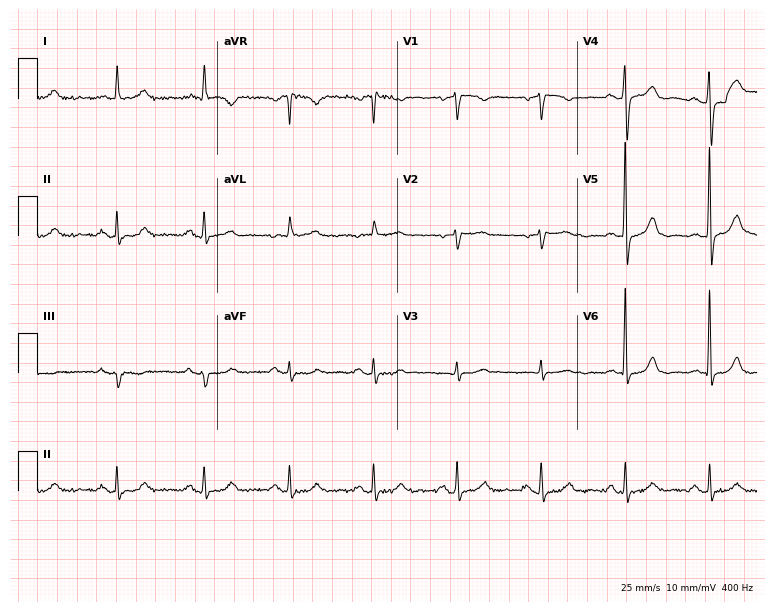
Standard 12-lead ECG recorded from a woman, 73 years old. Read as a normal ECG.